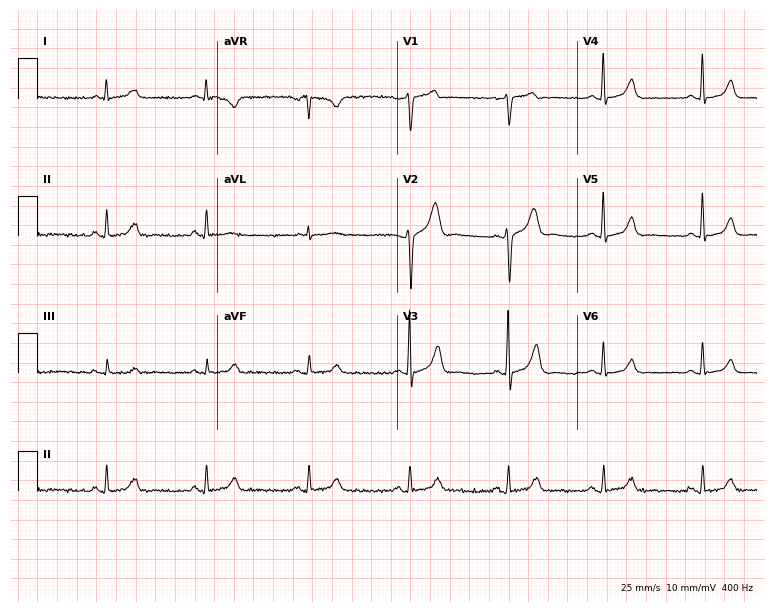
12-lead ECG (7.3-second recording at 400 Hz) from a 59-year-old man. Labelled as a normal ECG.